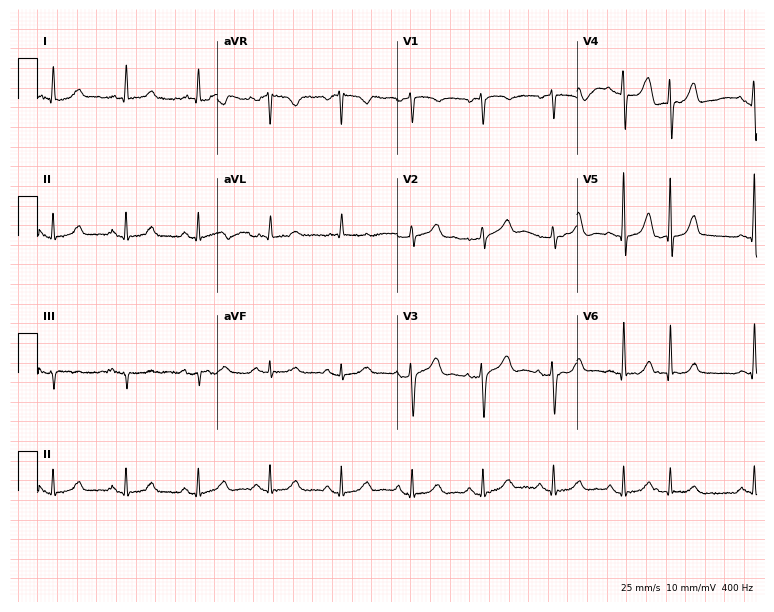
Standard 12-lead ECG recorded from an 83-year-old male patient. None of these six findings is recorded: first-degree AV block, right bundle branch block (RBBB), left bundle branch block (LBBB), sinus bradycardia, atrial fibrillation (AF), sinus tachycardia. Only these six findings were labelled.